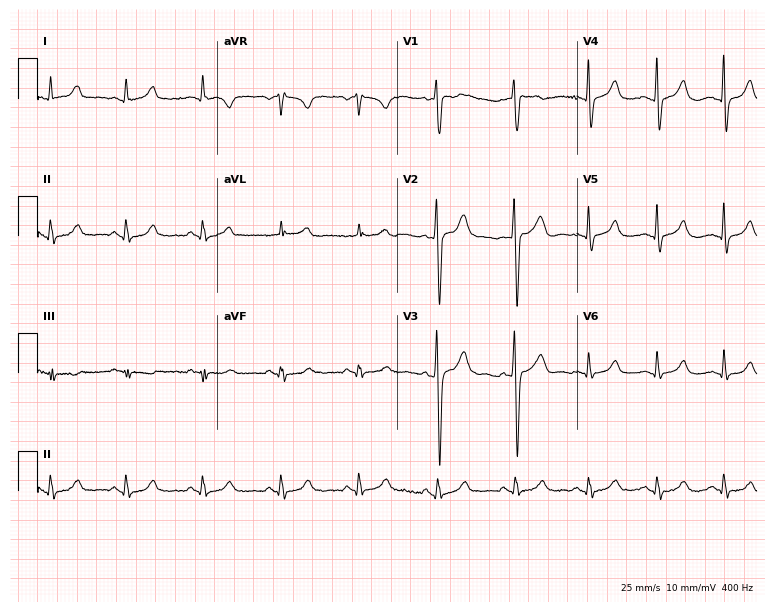
Electrocardiogram (7.3-second recording at 400 Hz), a female patient, 33 years old. Of the six screened findings (first-degree AV block, right bundle branch block, left bundle branch block, sinus bradycardia, atrial fibrillation, sinus tachycardia), none is recorded.